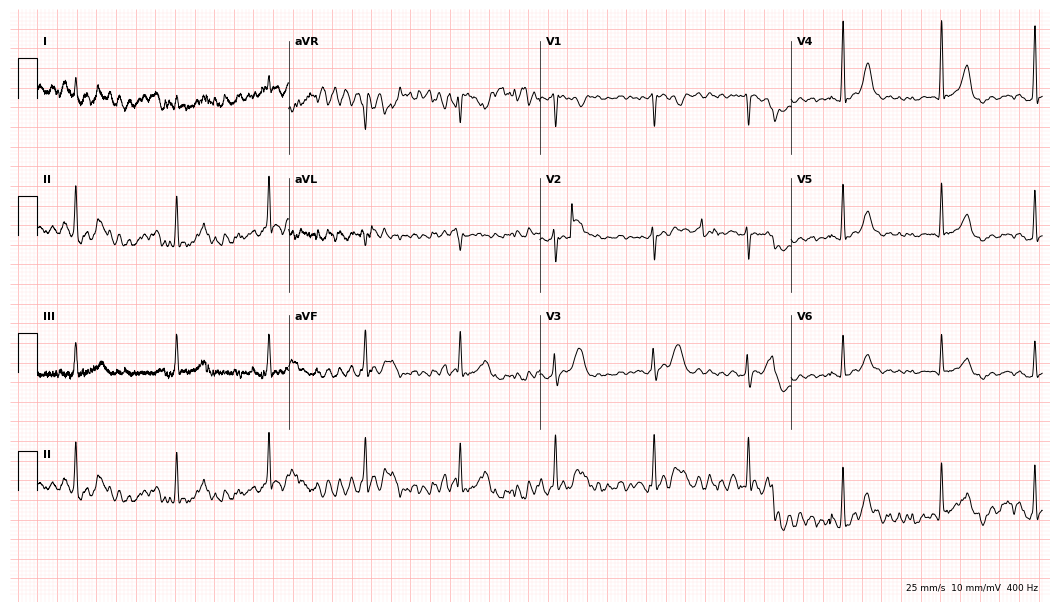
12-lead ECG (10.2-second recording at 400 Hz) from a female, 23 years old. Labelled as a normal ECG.